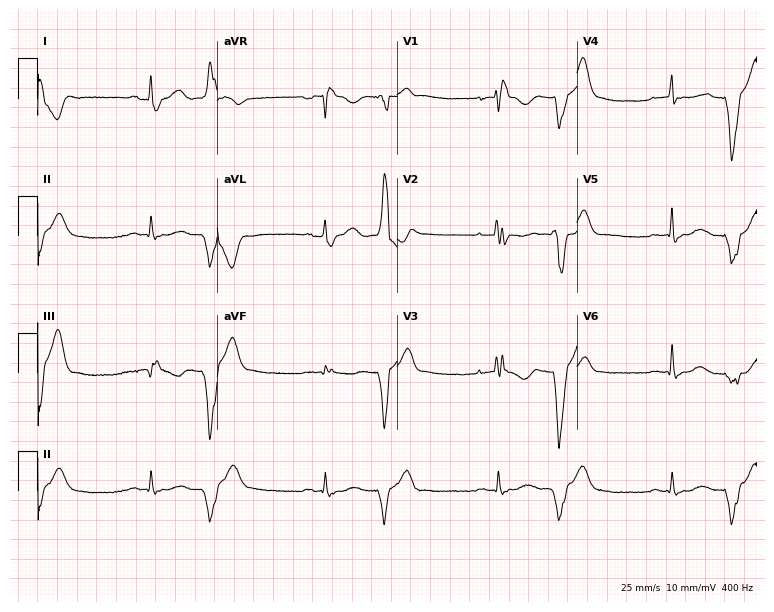
12-lead ECG from a female, 71 years old. Findings include right bundle branch block, atrial fibrillation.